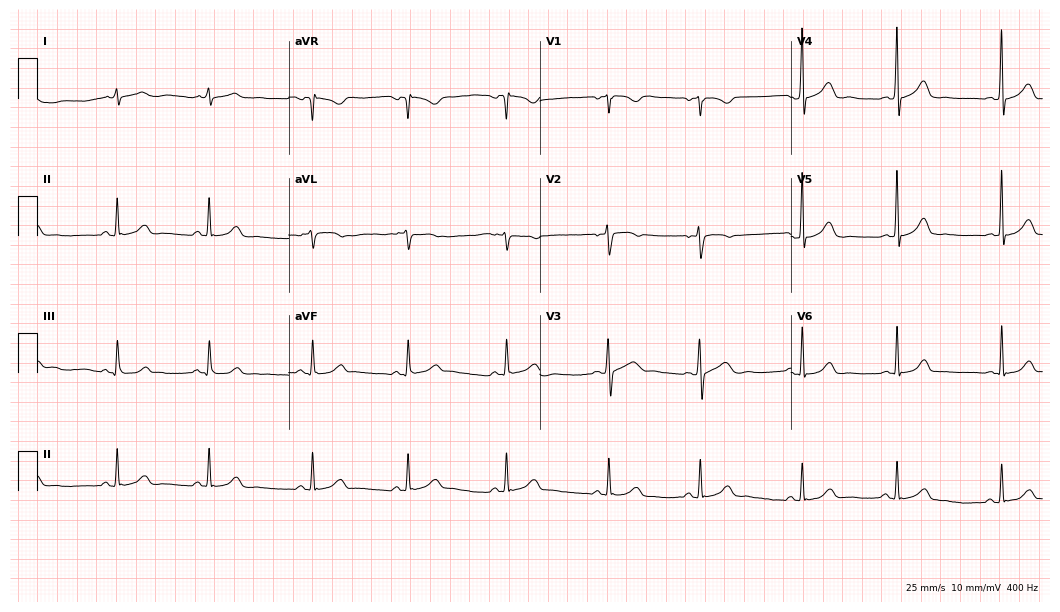
Resting 12-lead electrocardiogram (10.2-second recording at 400 Hz). Patient: a 21-year-old female. Read as a normal ECG.